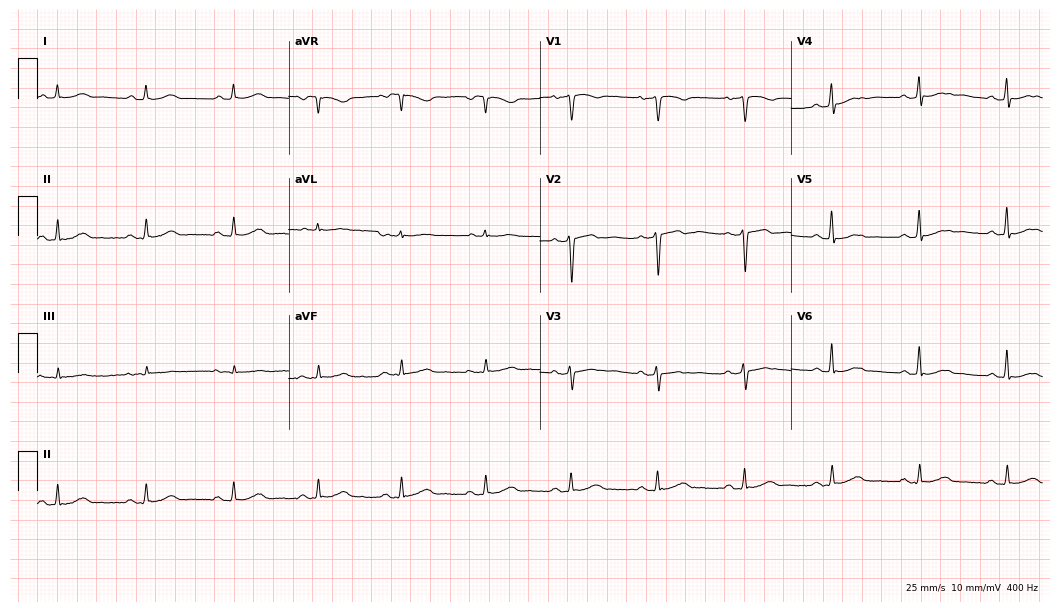
Standard 12-lead ECG recorded from a male, 62 years old. Read as a normal ECG.